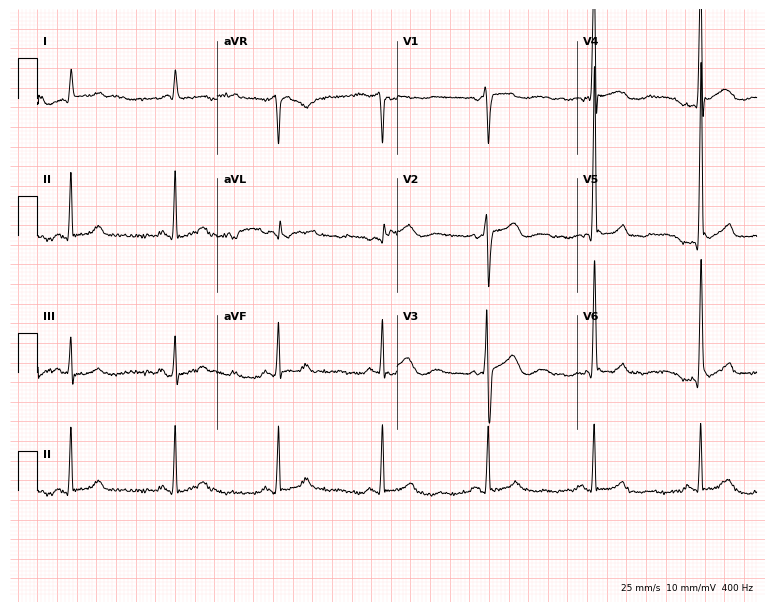
Standard 12-lead ECG recorded from a male patient, 70 years old. Read as a normal ECG.